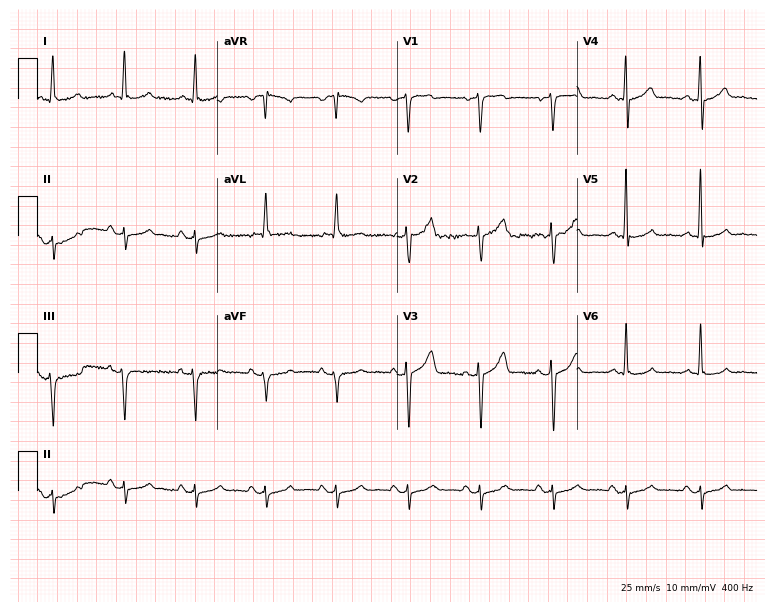
Standard 12-lead ECG recorded from a 57-year-old man (7.3-second recording at 400 Hz). None of these six findings is recorded: first-degree AV block, right bundle branch block, left bundle branch block, sinus bradycardia, atrial fibrillation, sinus tachycardia.